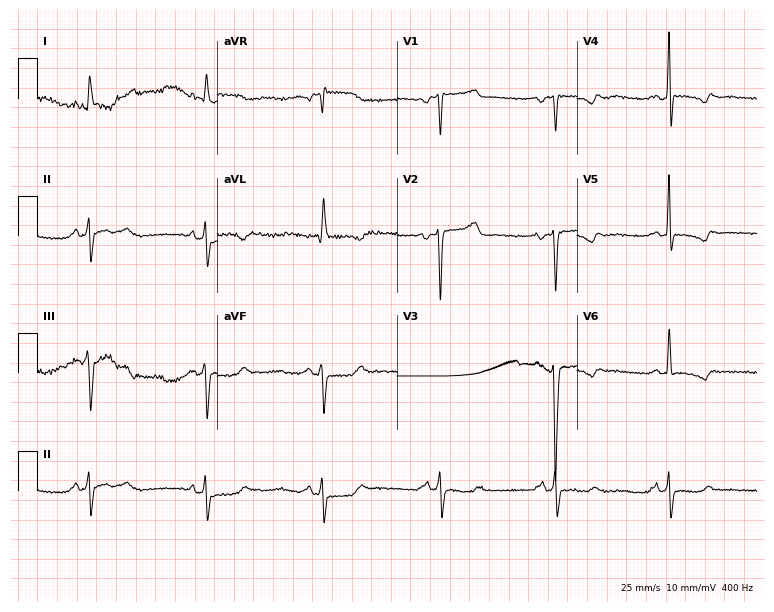
12-lead ECG from a man, 78 years old (7.3-second recording at 400 Hz). No first-degree AV block, right bundle branch block (RBBB), left bundle branch block (LBBB), sinus bradycardia, atrial fibrillation (AF) or sinus tachycardia recorded for this tracing.